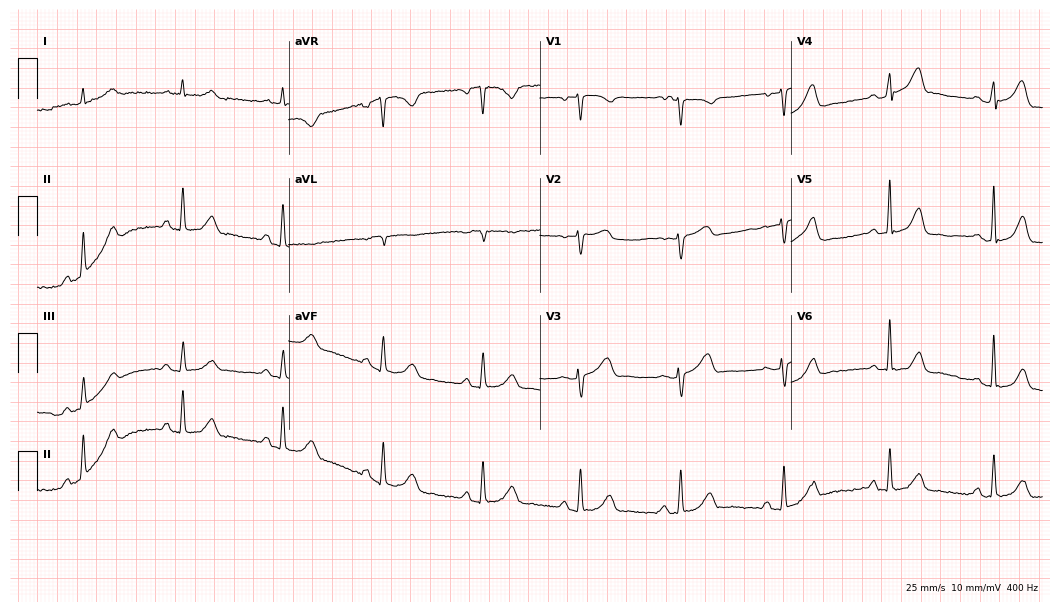
12-lead ECG from a female patient, 59 years old. Labelled as a normal ECG.